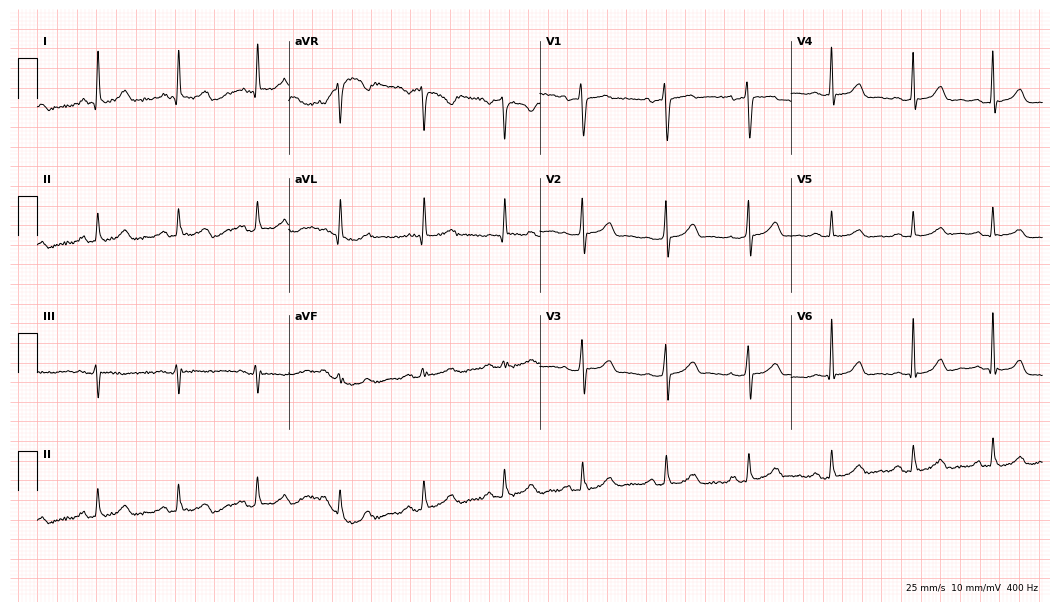
ECG (10.2-second recording at 400 Hz) — a female, 56 years old. Screened for six findings — first-degree AV block, right bundle branch block, left bundle branch block, sinus bradycardia, atrial fibrillation, sinus tachycardia — none is recorded.